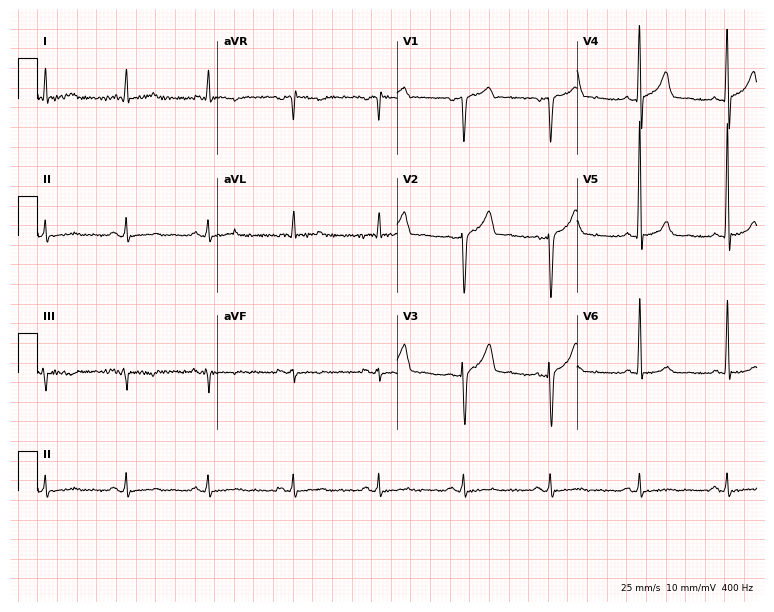
12-lead ECG (7.3-second recording at 400 Hz) from a man, 59 years old. Screened for six findings — first-degree AV block, right bundle branch block (RBBB), left bundle branch block (LBBB), sinus bradycardia, atrial fibrillation (AF), sinus tachycardia — none is recorded. Only these six findings were labelled.